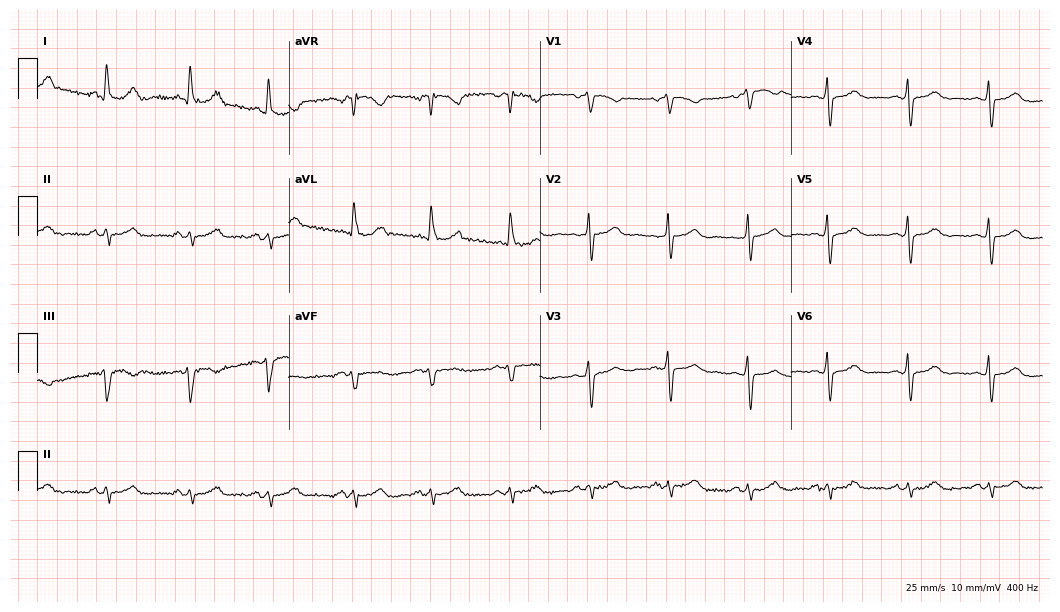
12-lead ECG from a female patient, 76 years old (10.2-second recording at 400 Hz). No first-degree AV block, right bundle branch block, left bundle branch block, sinus bradycardia, atrial fibrillation or sinus tachycardia recorded for this tracing.